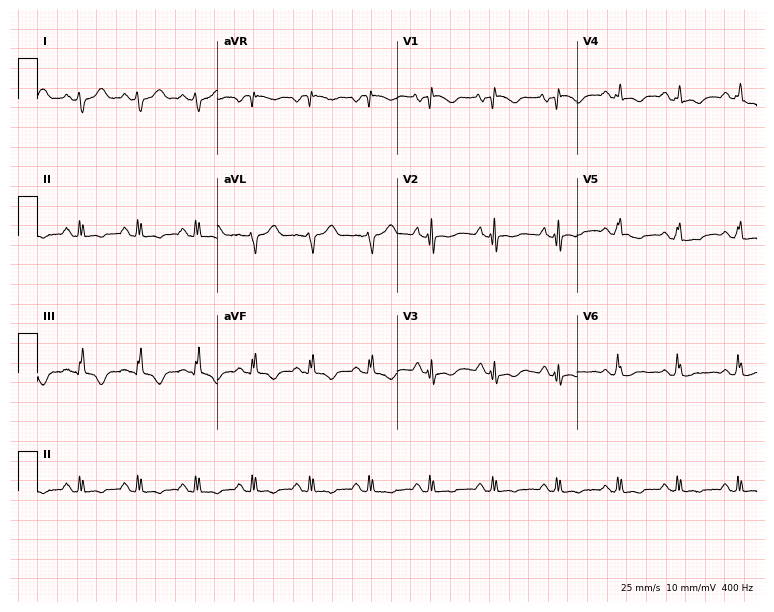
Electrocardiogram, a 26-year-old woman. Of the six screened findings (first-degree AV block, right bundle branch block, left bundle branch block, sinus bradycardia, atrial fibrillation, sinus tachycardia), none is recorded.